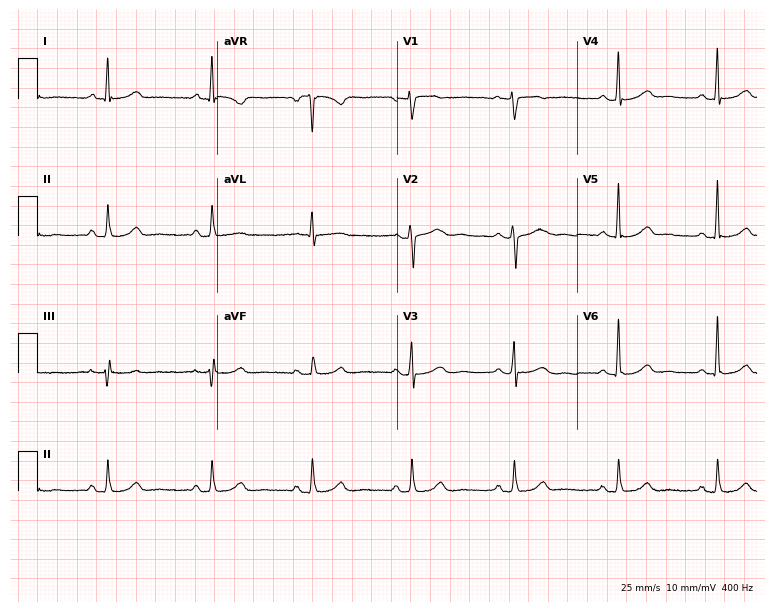
Resting 12-lead electrocardiogram. Patient: a 61-year-old female. Read as a normal ECG.